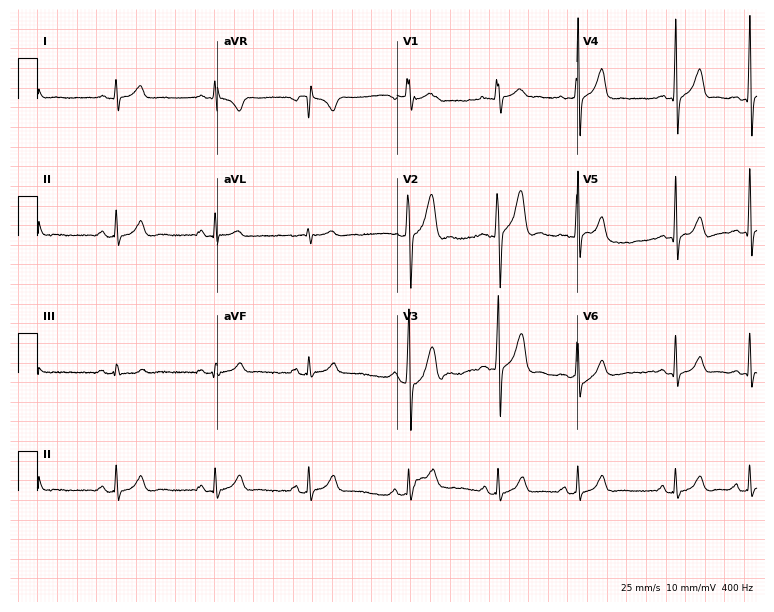
Resting 12-lead electrocardiogram (7.3-second recording at 400 Hz). Patient: a 27-year-old male. None of these six findings is recorded: first-degree AV block, right bundle branch block, left bundle branch block, sinus bradycardia, atrial fibrillation, sinus tachycardia. Only these six findings were labelled.